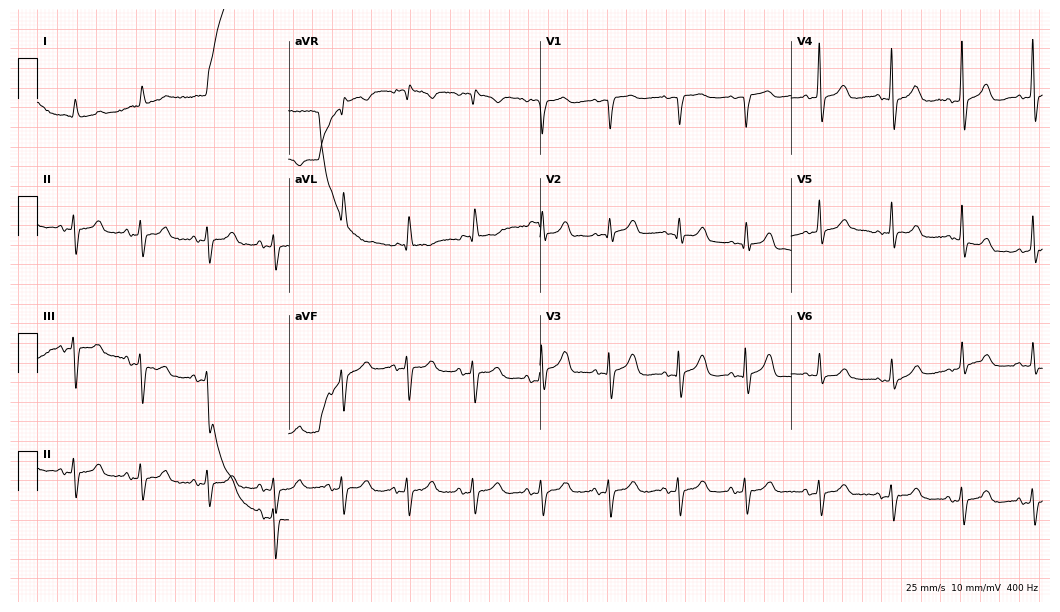
Electrocardiogram (10.2-second recording at 400 Hz), a female patient, 84 years old. Overall reading on record: normal ECG.